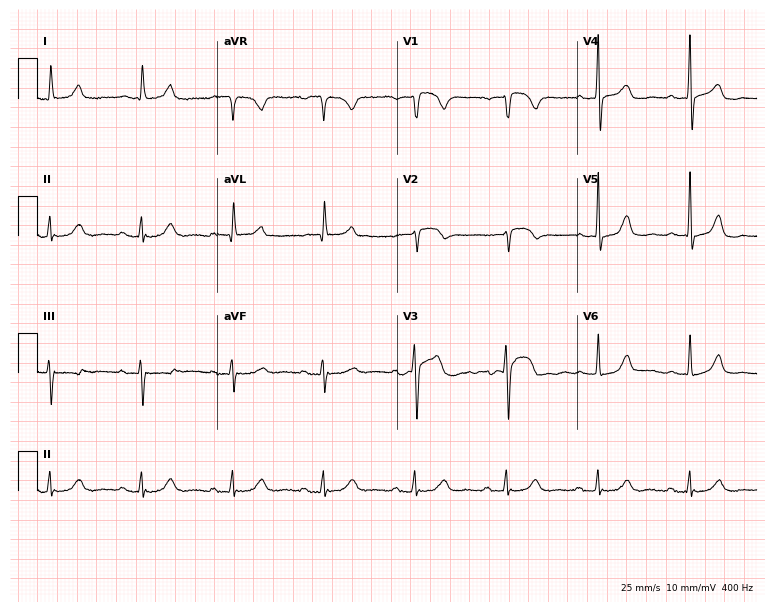
Standard 12-lead ECG recorded from an 84-year-old male. None of these six findings is recorded: first-degree AV block, right bundle branch block, left bundle branch block, sinus bradycardia, atrial fibrillation, sinus tachycardia. Other findings, if any, are not listed.